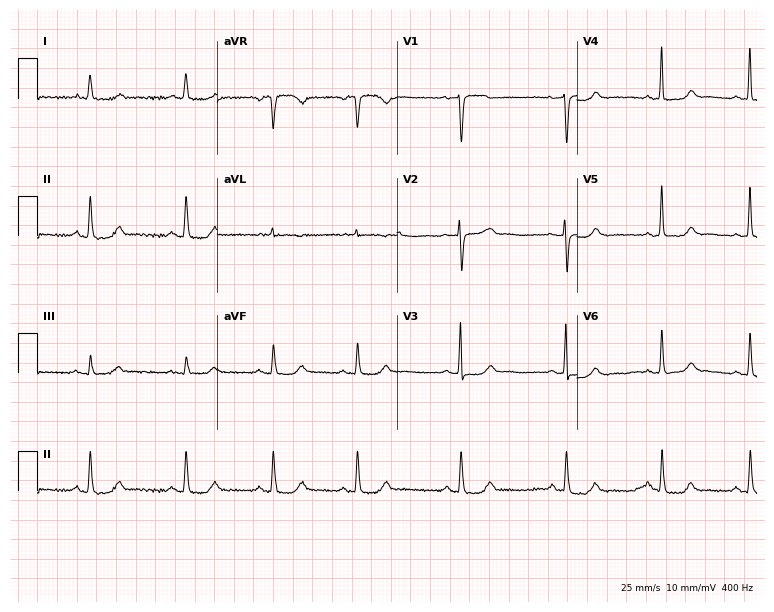
Standard 12-lead ECG recorded from a 66-year-old female patient. Read as a normal ECG.